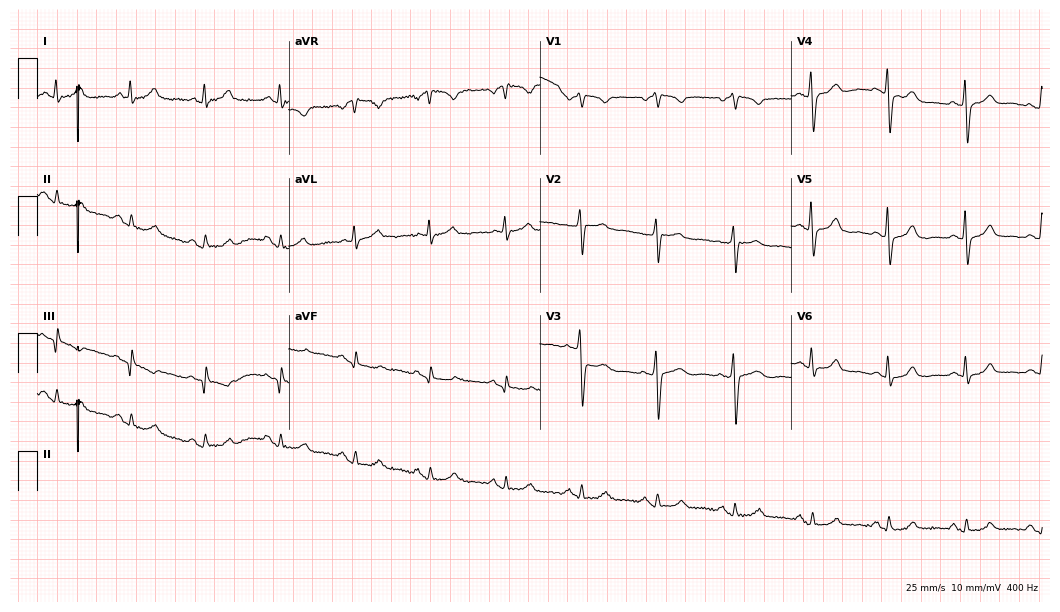
Resting 12-lead electrocardiogram. Patient: a female, 68 years old. Read as a normal ECG.